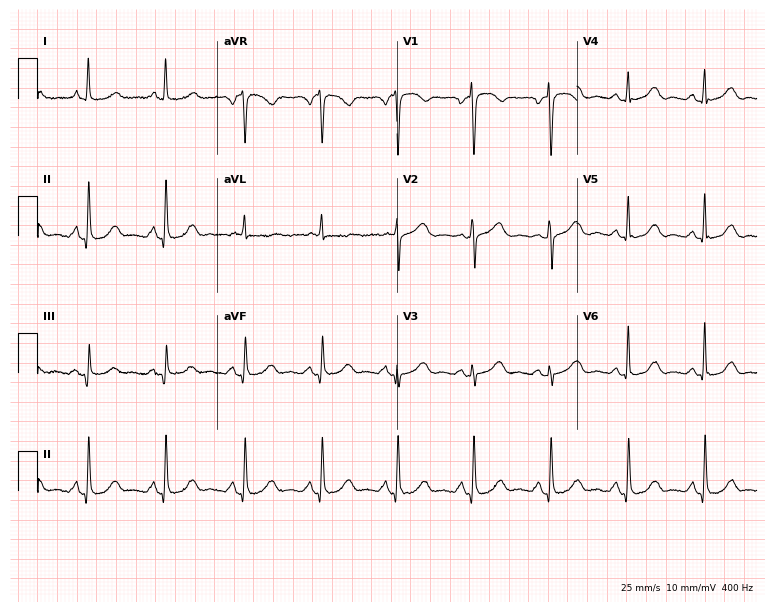
Electrocardiogram (7.3-second recording at 400 Hz), a 54-year-old woman. Overall reading on record: normal ECG.